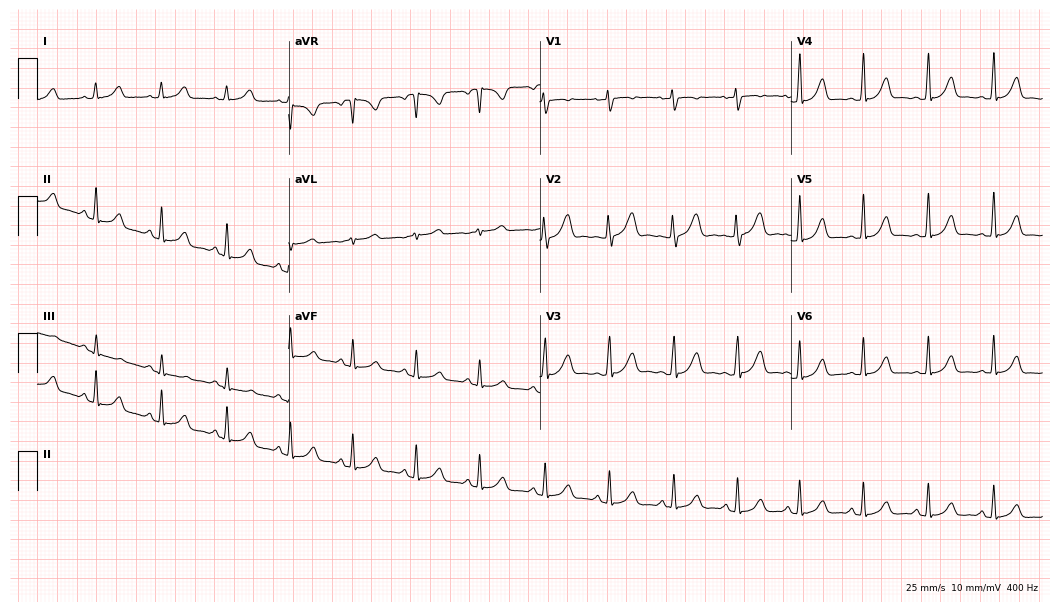
12-lead ECG from a 24-year-old female patient. Recorded interpretation: within normal limits.